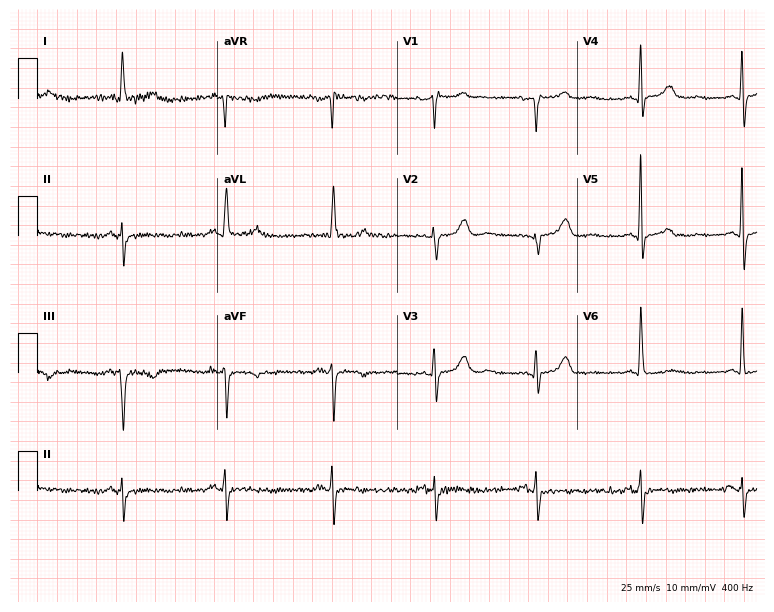
Resting 12-lead electrocardiogram (7.3-second recording at 400 Hz). Patient: a female, 81 years old. None of these six findings is recorded: first-degree AV block, right bundle branch block (RBBB), left bundle branch block (LBBB), sinus bradycardia, atrial fibrillation (AF), sinus tachycardia. Only these six findings were labelled.